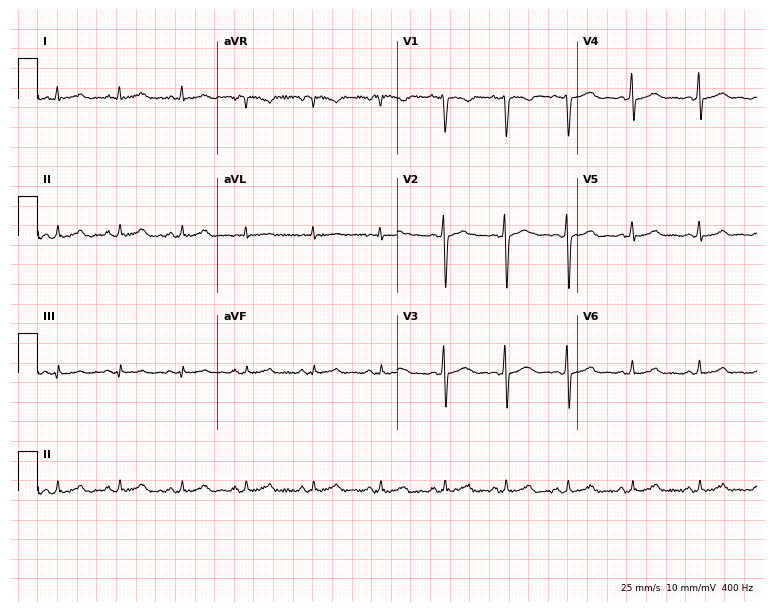
ECG (7.3-second recording at 400 Hz) — a female patient, 27 years old. Labelled as a normal ECG.